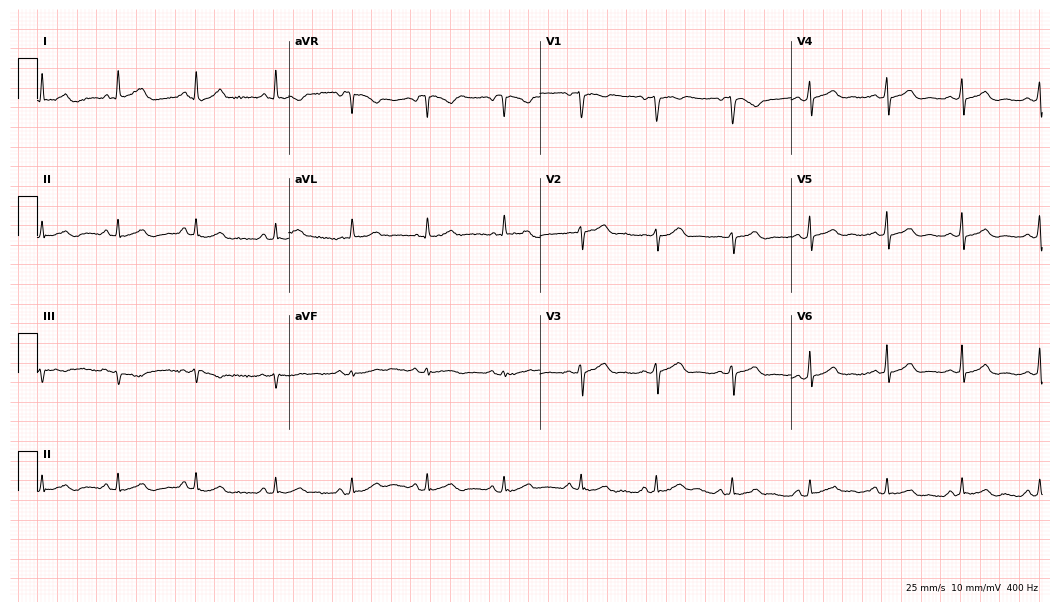
Resting 12-lead electrocardiogram (10.2-second recording at 400 Hz). Patient: a female, 53 years old. Read as a normal ECG.